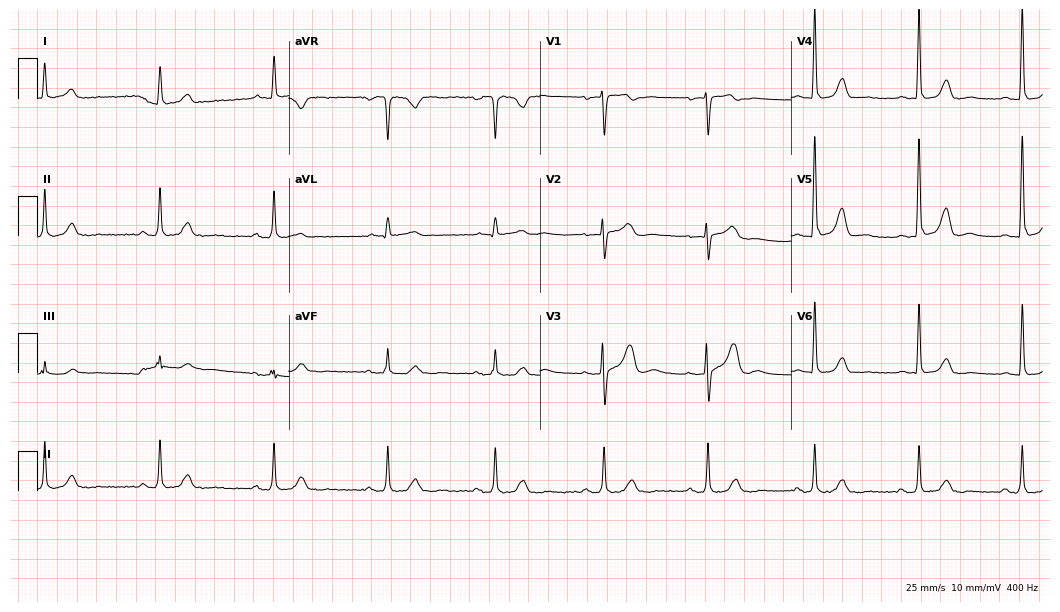
Standard 12-lead ECG recorded from a female, 67 years old. None of these six findings is recorded: first-degree AV block, right bundle branch block, left bundle branch block, sinus bradycardia, atrial fibrillation, sinus tachycardia.